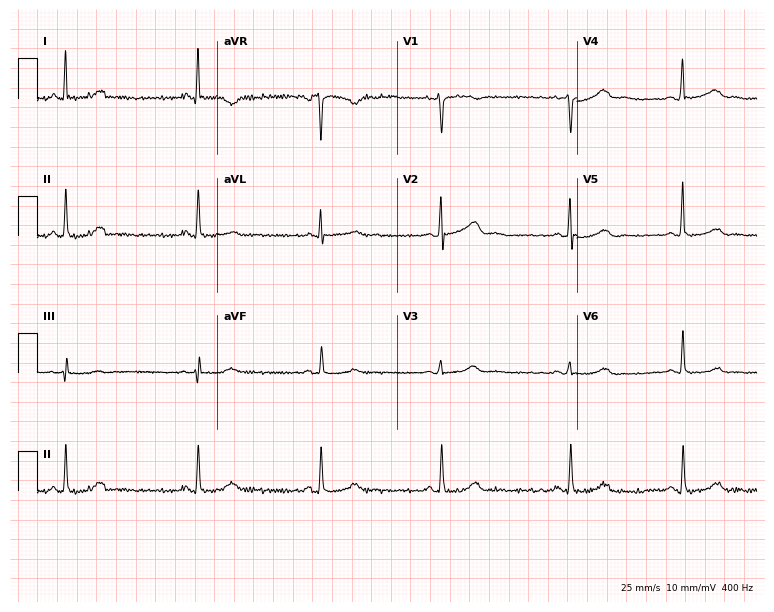
ECG (7.3-second recording at 400 Hz) — a 39-year-old female. Labelled as a normal ECG.